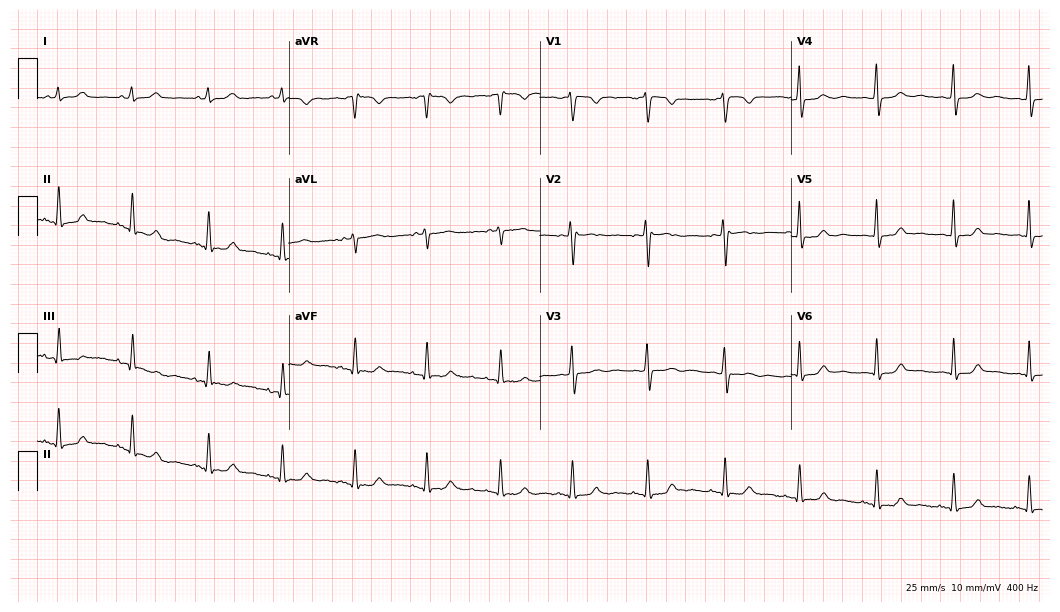
Resting 12-lead electrocardiogram (10.2-second recording at 400 Hz). Patient: a 30-year-old female. Read as a normal ECG.